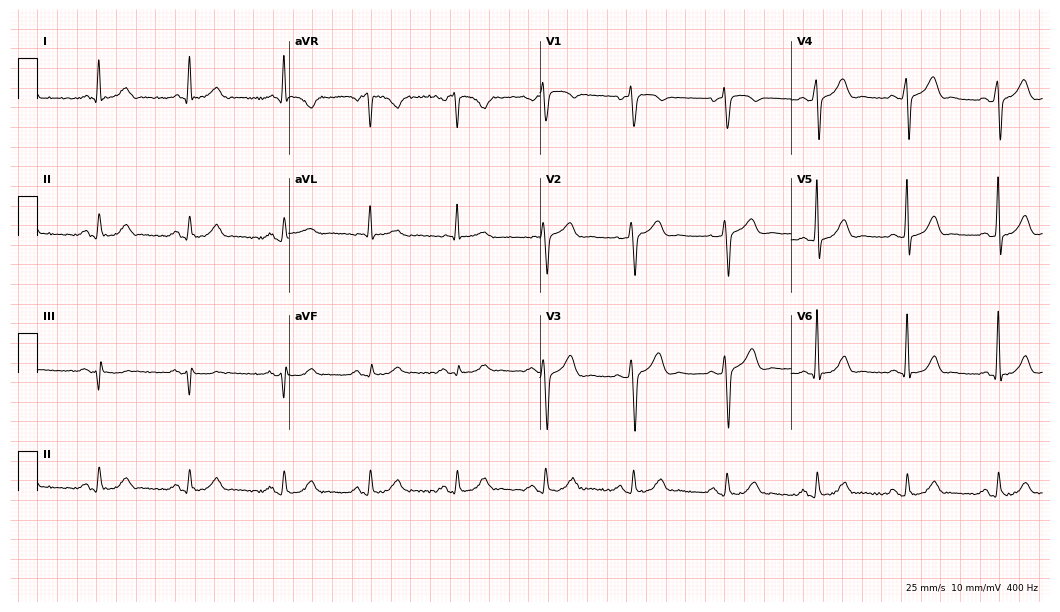
Electrocardiogram, a male, 70 years old. Overall reading on record: normal ECG.